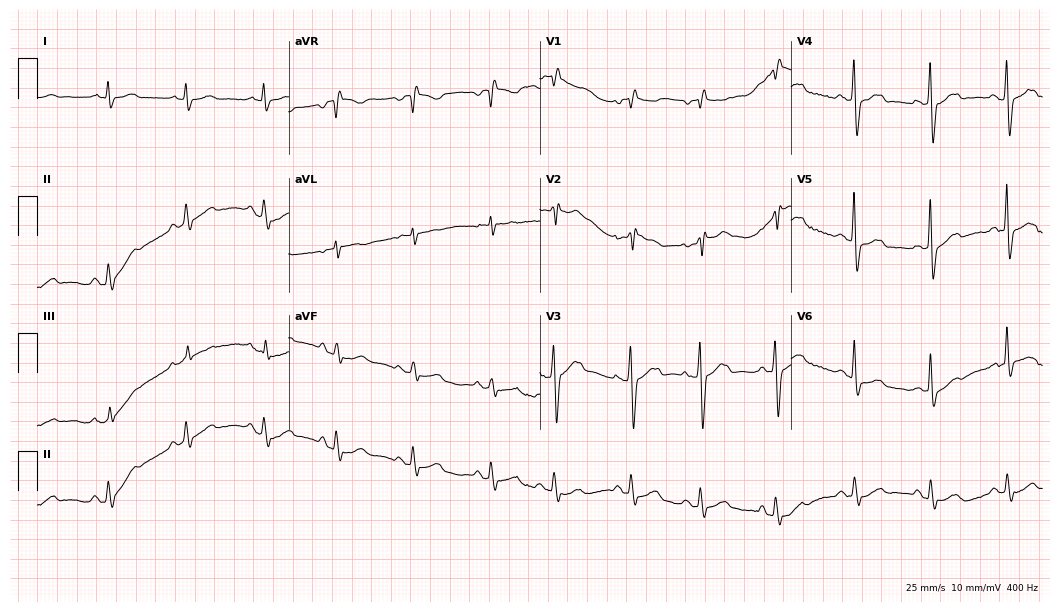
Electrocardiogram (10.2-second recording at 400 Hz), a 77-year-old male. Of the six screened findings (first-degree AV block, right bundle branch block (RBBB), left bundle branch block (LBBB), sinus bradycardia, atrial fibrillation (AF), sinus tachycardia), none is recorded. Only these six findings were labelled.